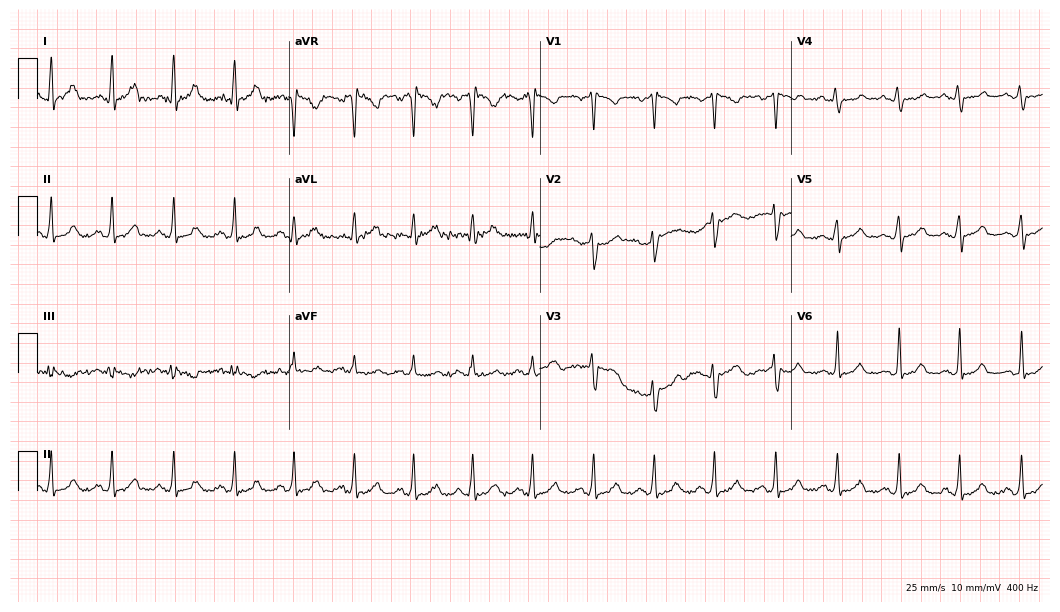
Standard 12-lead ECG recorded from a female patient, 40 years old. Read as a normal ECG.